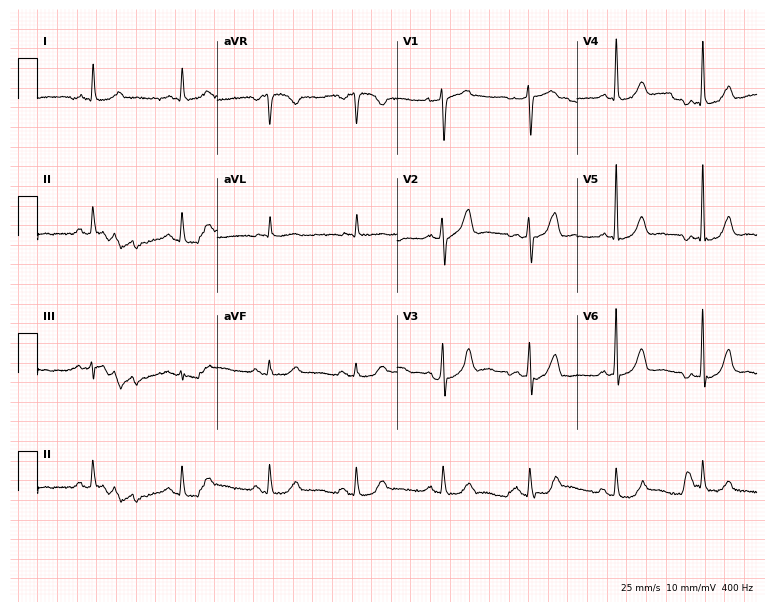
ECG — a 78-year-old man. Labelled as a normal ECG.